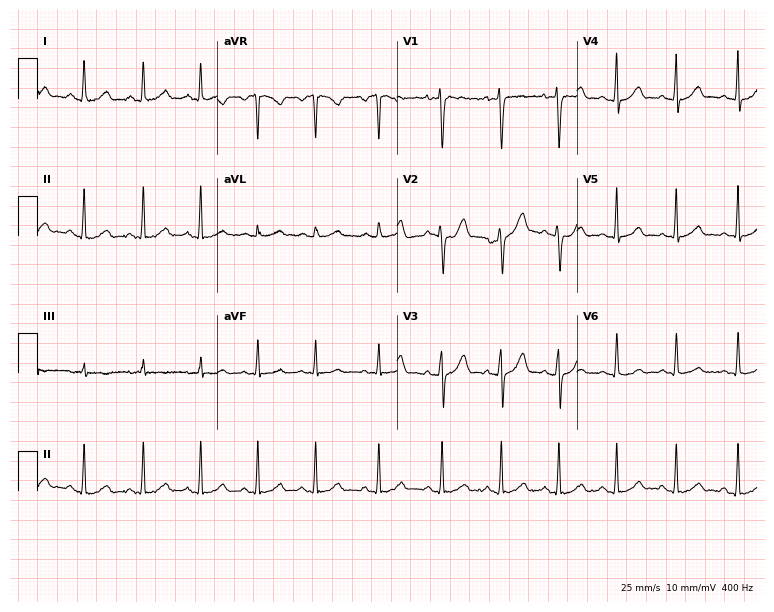
12-lead ECG (7.3-second recording at 400 Hz) from a female, 24 years old. Labelled as a normal ECG.